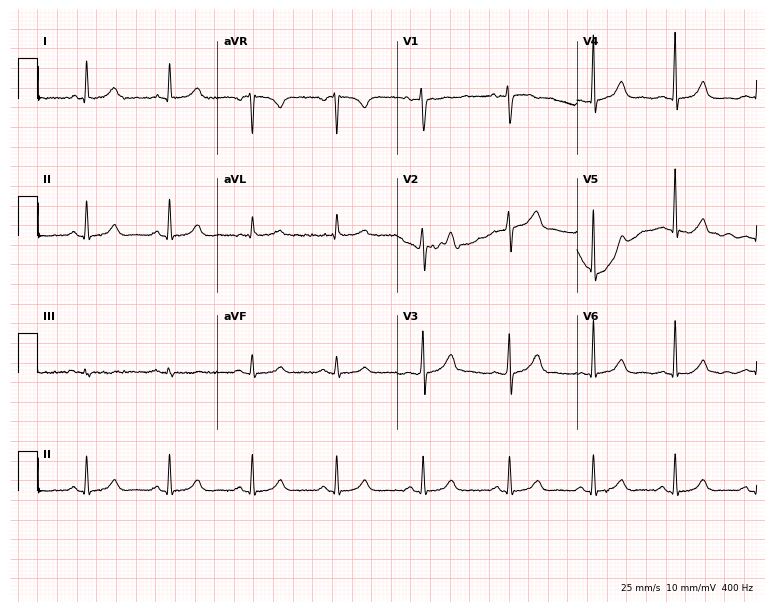
Standard 12-lead ECG recorded from a 33-year-old female. None of these six findings is recorded: first-degree AV block, right bundle branch block, left bundle branch block, sinus bradycardia, atrial fibrillation, sinus tachycardia. Only these six findings were labelled.